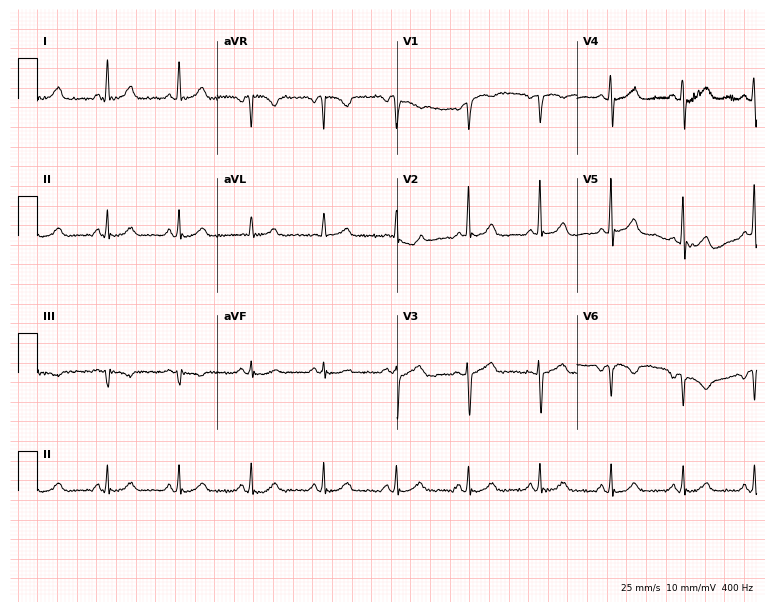
12-lead ECG from a female patient, 54 years old. Labelled as a normal ECG.